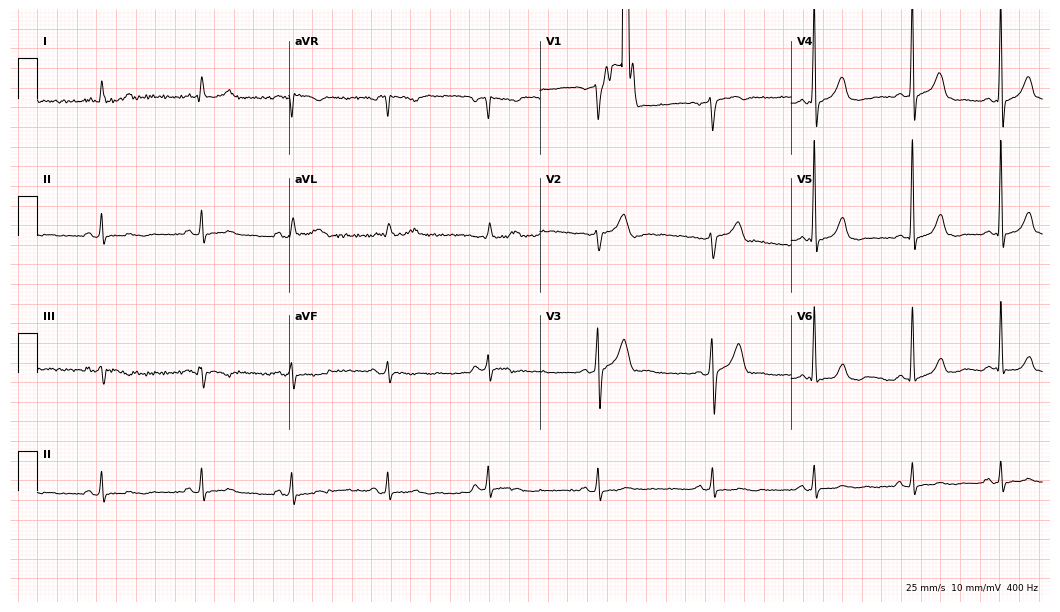
Standard 12-lead ECG recorded from a man, 64 years old (10.2-second recording at 400 Hz). None of these six findings is recorded: first-degree AV block, right bundle branch block (RBBB), left bundle branch block (LBBB), sinus bradycardia, atrial fibrillation (AF), sinus tachycardia. Other findings, if any, are not listed.